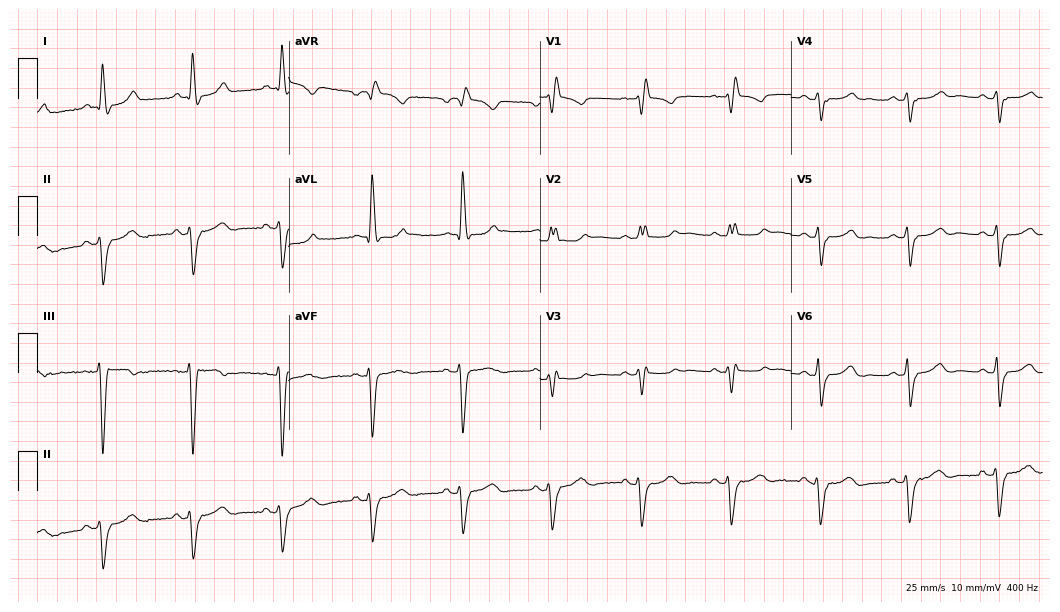
12-lead ECG from a female patient, 83 years old. Findings include right bundle branch block.